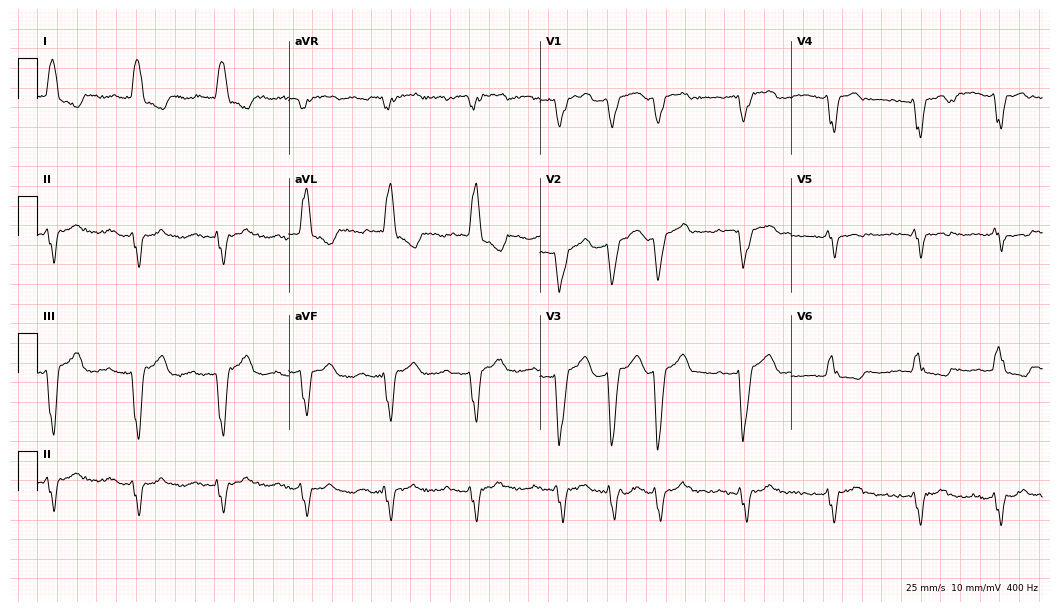
Standard 12-lead ECG recorded from a 73-year-old male patient (10.2-second recording at 400 Hz). The tracing shows left bundle branch block, atrial fibrillation.